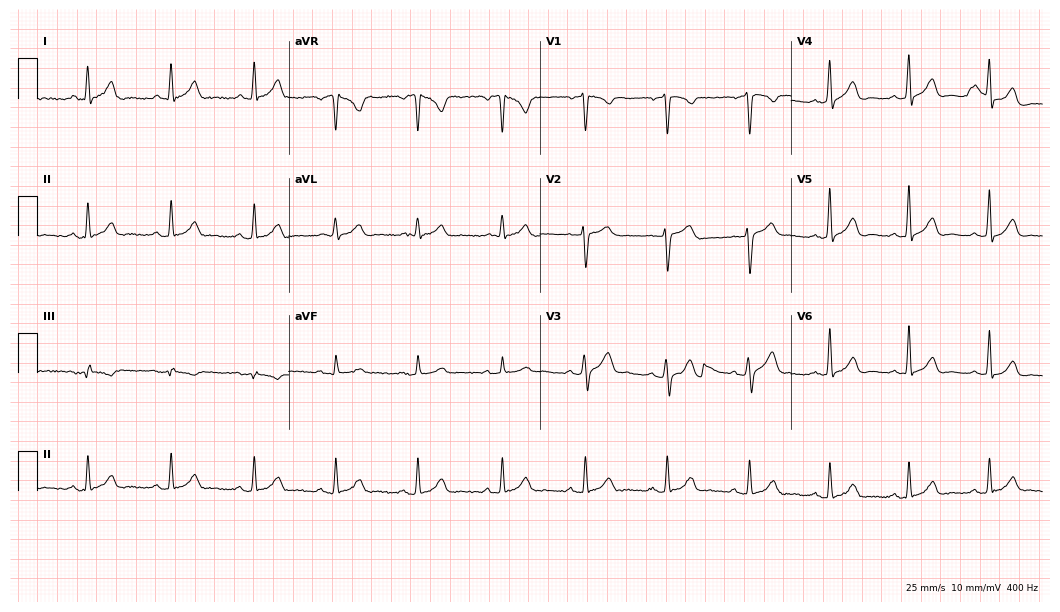
12-lead ECG from a man, 35 years old. Recorded interpretation: within normal limits.